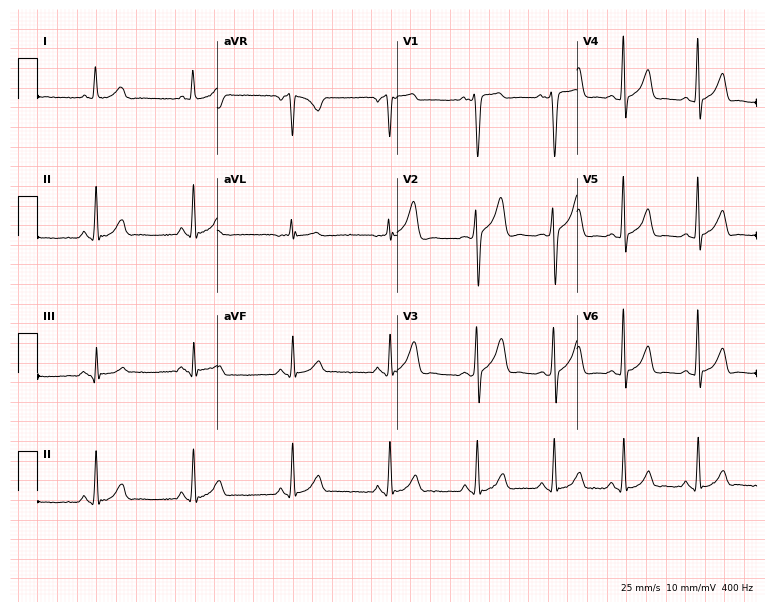
Electrocardiogram (7.3-second recording at 400 Hz), a male, 29 years old. Of the six screened findings (first-degree AV block, right bundle branch block, left bundle branch block, sinus bradycardia, atrial fibrillation, sinus tachycardia), none is recorded. Findings outside these six are not listed.